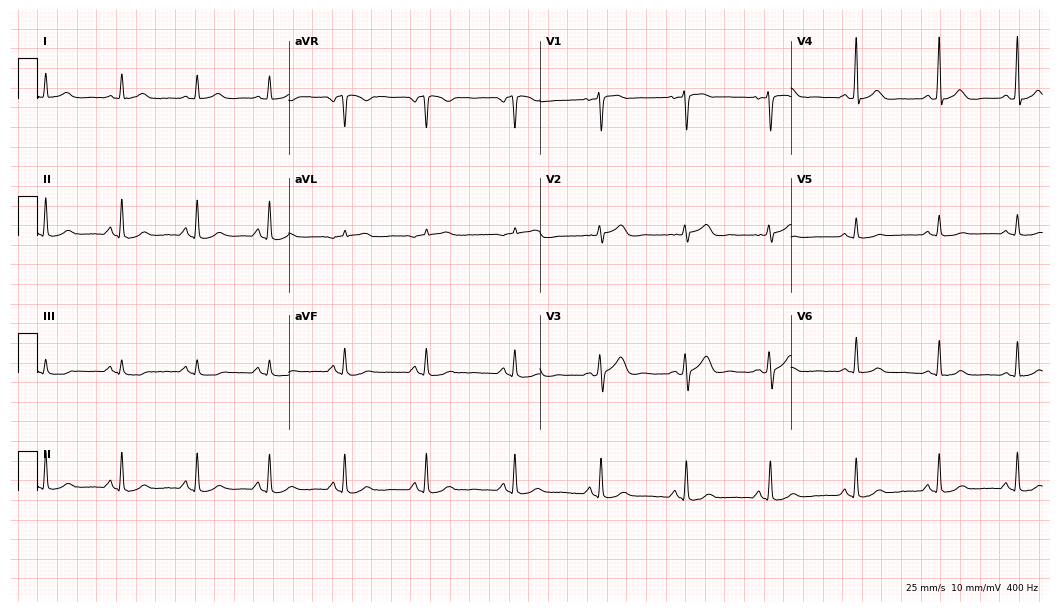
ECG — a female, 46 years old. Screened for six findings — first-degree AV block, right bundle branch block (RBBB), left bundle branch block (LBBB), sinus bradycardia, atrial fibrillation (AF), sinus tachycardia — none is recorded.